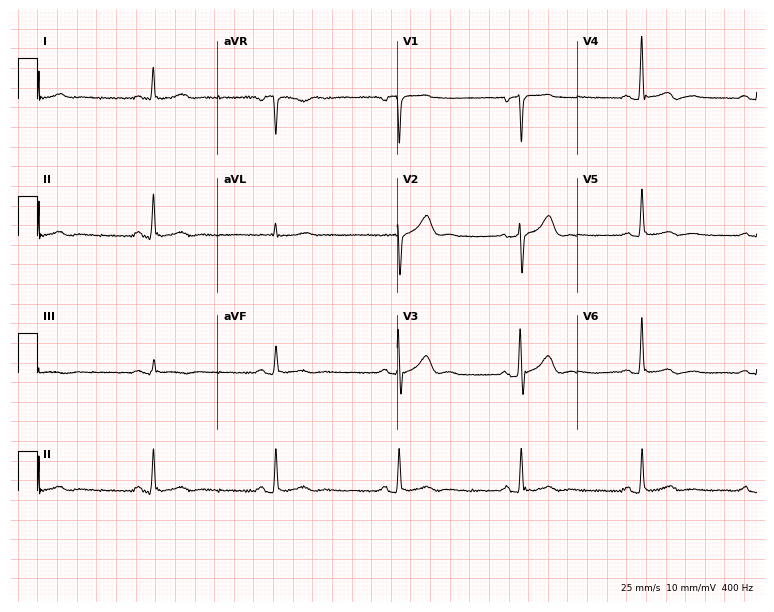
12-lead ECG (7.3-second recording at 400 Hz) from a 49-year-old male. Findings include sinus bradycardia (a sinus rate of 50 beats per minute or less).